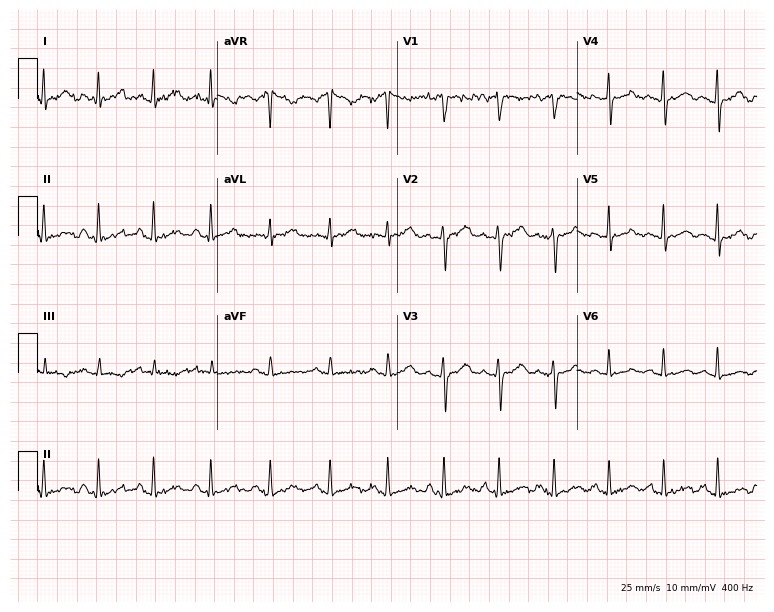
Resting 12-lead electrocardiogram (7.3-second recording at 400 Hz). Patient: a woman, 31 years old. The tracing shows sinus tachycardia (a sinus rate of 100 beats per minute or more).